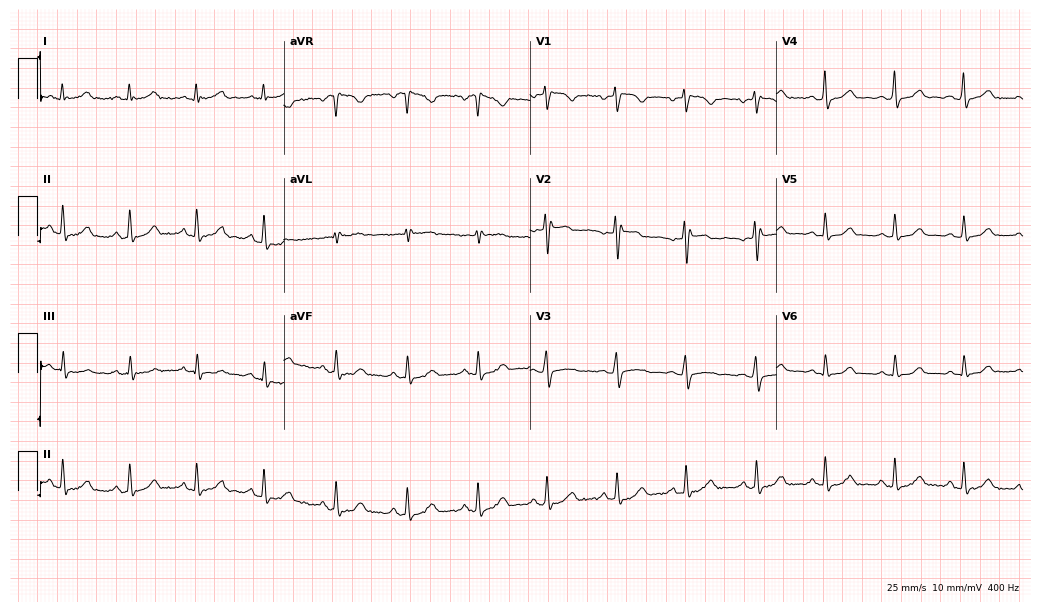
12-lead ECG from a female, 27 years old (10-second recording at 400 Hz). No first-degree AV block, right bundle branch block (RBBB), left bundle branch block (LBBB), sinus bradycardia, atrial fibrillation (AF) or sinus tachycardia recorded for this tracing. Findings outside these six are not listed.